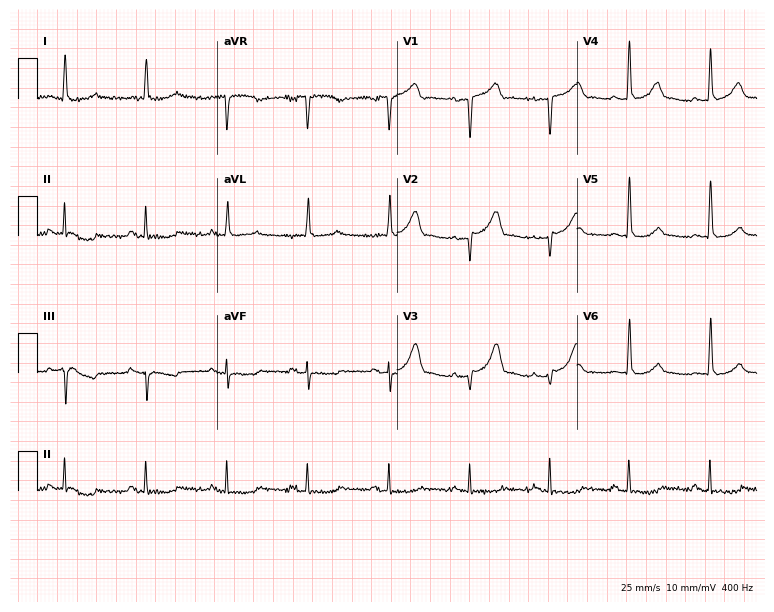
12-lead ECG from an 85-year-old female (7.3-second recording at 400 Hz). No first-degree AV block, right bundle branch block (RBBB), left bundle branch block (LBBB), sinus bradycardia, atrial fibrillation (AF) or sinus tachycardia recorded for this tracing.